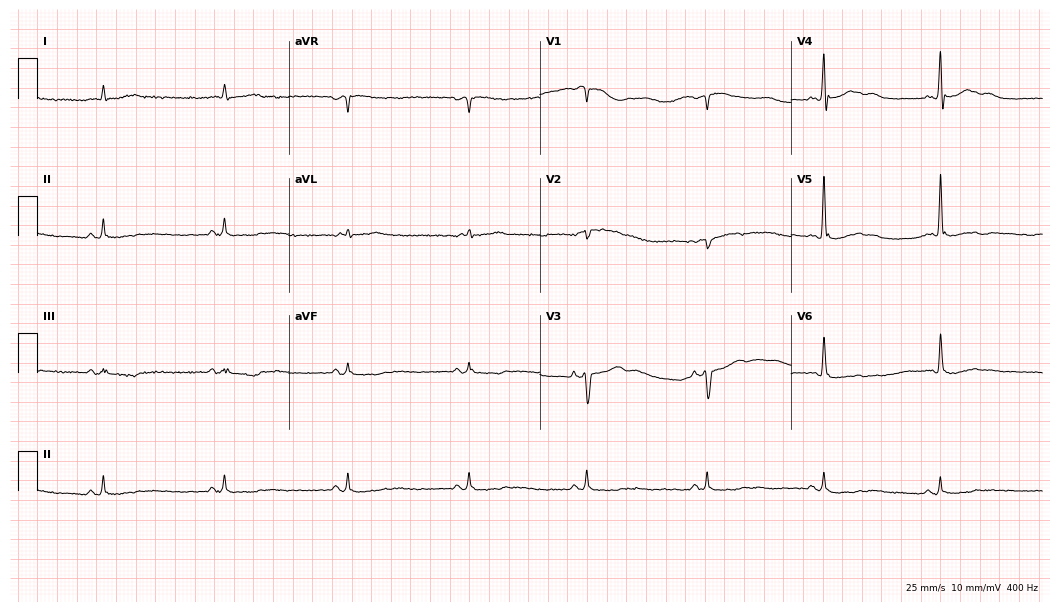
ECG (10.2-second recording at 400 Hz) — a male, 64 years old. Screened for six findings — first-degree AV block, right bundle branch block, left bundle branch block, sinus bradycardia, atrial fibrillation, sinus tachycardia — none is recorded.